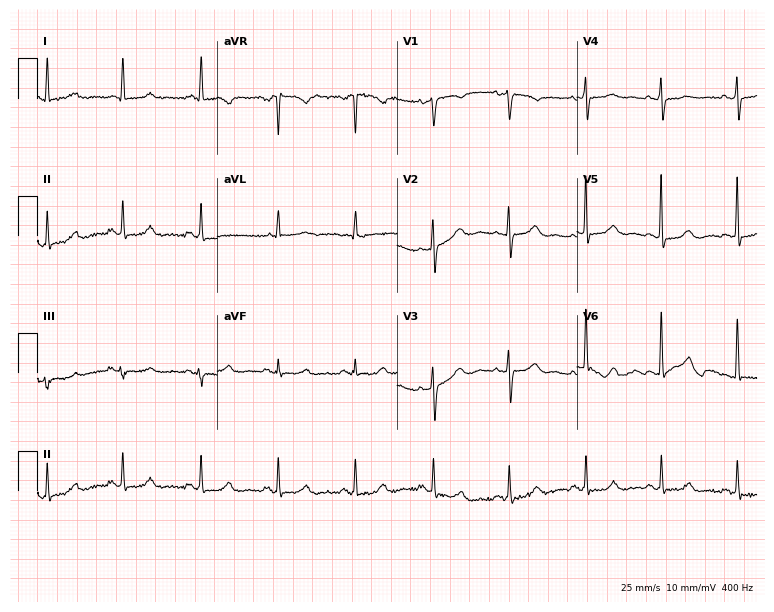
12-lead ECG from a 42-year-old female. No first-degree AV block, right bundle branch block (RBBB), left bundle branch block (LBBB), sinus bradycardia, atrial fibrillation (AF) or sinus tachycardia recorded for this tracing.